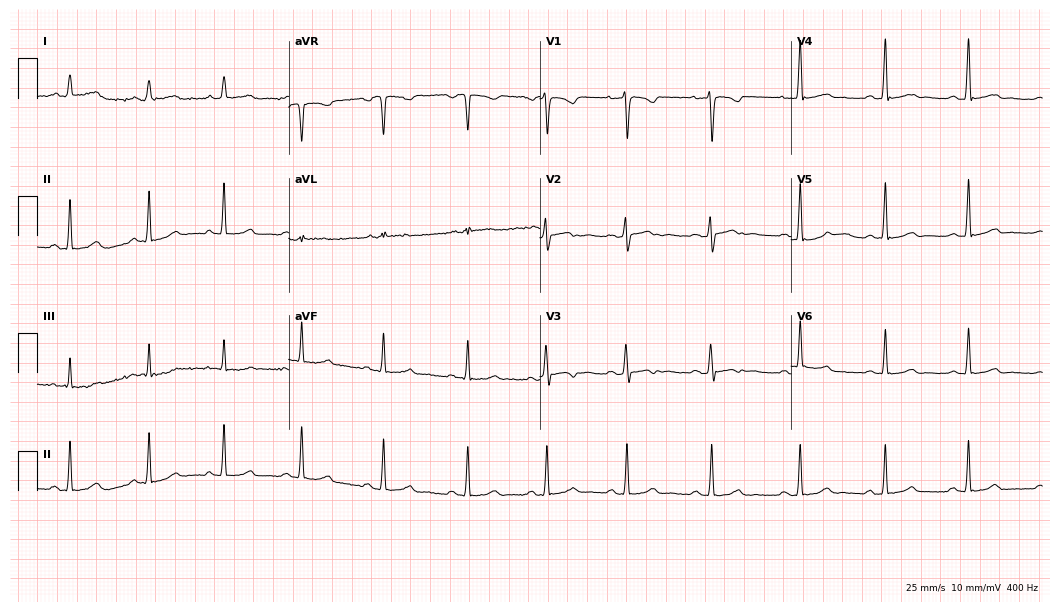
Resting 12-lead electrocardiogram (10.2-second recording at 400 Hz). Patient: a 28-year-old woman. Read as a normal ECG.